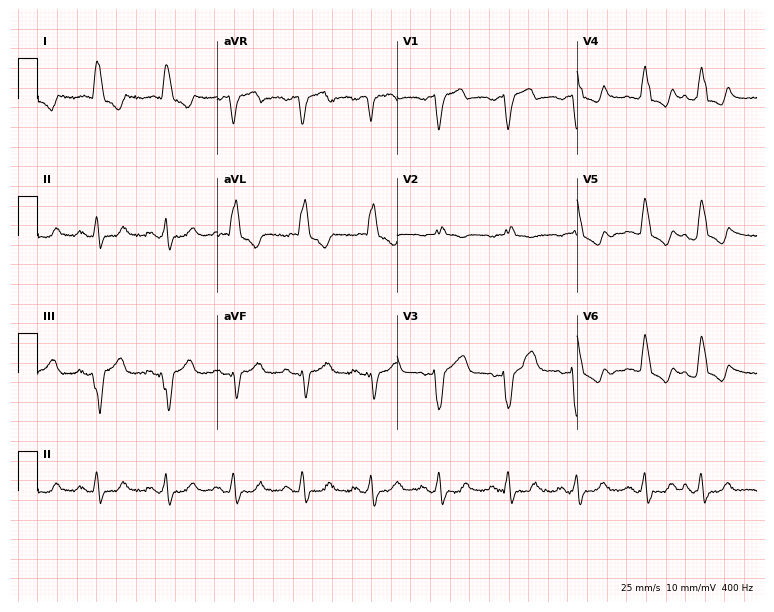
ECG — a 79-year-old female. Findings include left bundle branch block.